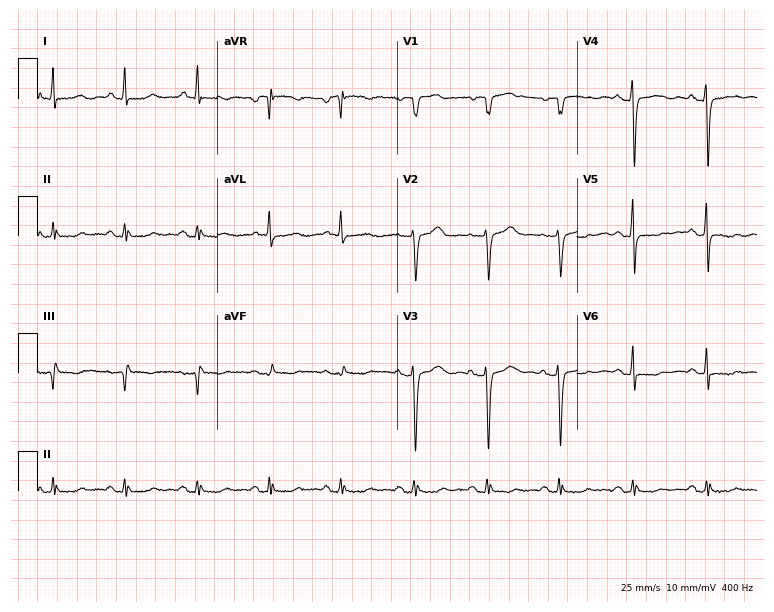
12-lead ECG from a 64-year-old woman. No first-degree AV block, right bundle branch block, left bundle branch block, sinus bradycardia, atrial fibrillation or sinus tachycardia recorded for this tracing. Only these six findings were labelled.